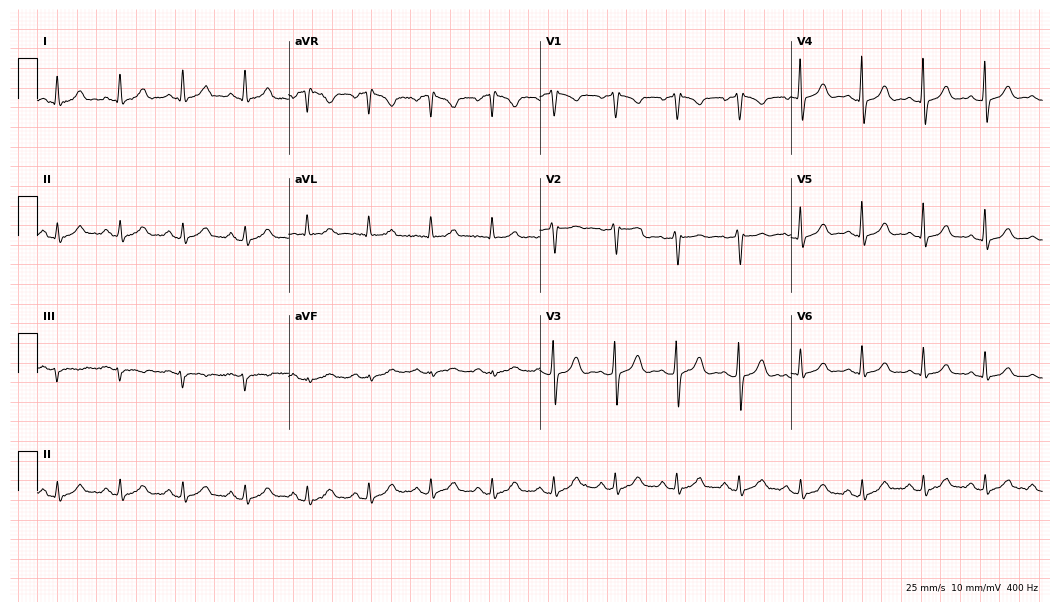
ECG (10.2-second recording at 400 Hz) — a female, 46 years old. Labelled as a normal ECG.